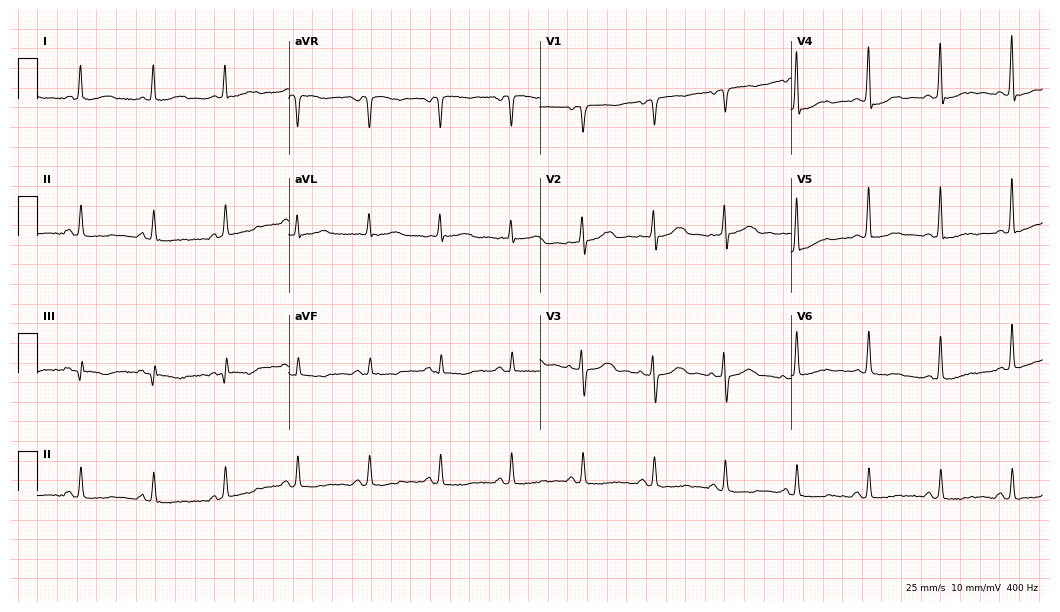
12-lead ECG (10.2-second recording at 400 Hz) from a 61-year-old woman. Screened for six findings — first-degree AV block, right bundle branch block, left bundle branch block, sinus bradycardia, atrial fibrillation, sinus tachycardia — none is recorded. Other findings, if any, are not listed.